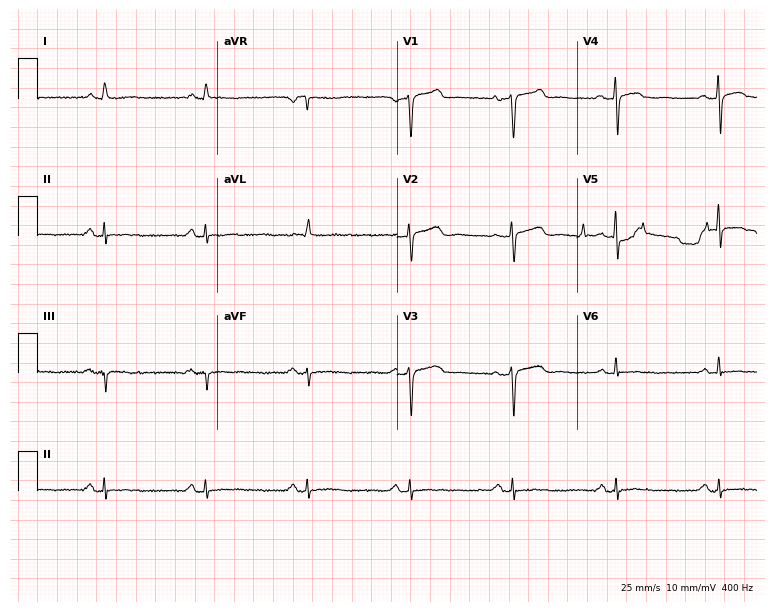
ECG (7.3-second recording at 400 Hz) — a female patient, 51 years old. Screened for six findings — first-degree AV block, right bundle branch block, left bundle branch block, sinus bradycardia, atrial fibrillation, sinus tachycardia — none is recorded. Other findings, if any, are not listed.